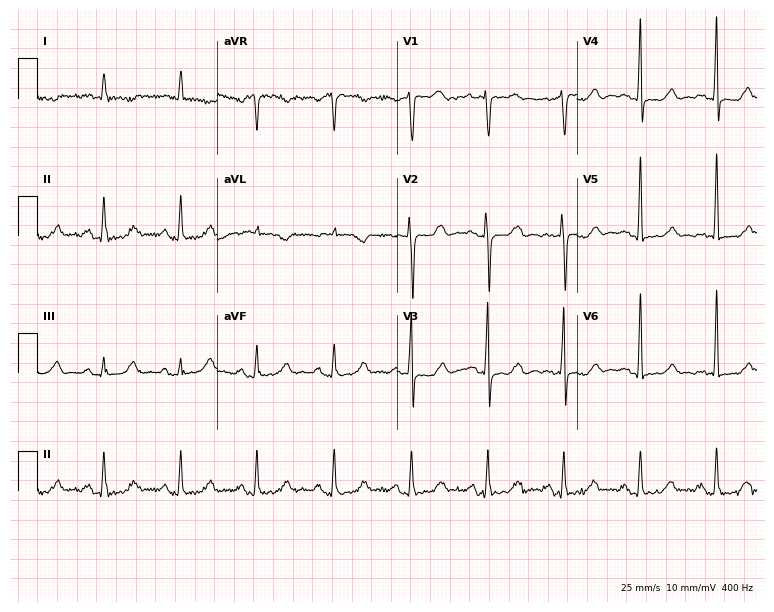
Resting 12-lead electrocardiogram (7.3-second recording at 400 Hz). Patient: a woman, 46 years old. None of these six findings is recorded: first-degree AV block, right bundle branch block, left bundle branch block, sinus bradycardia, atrial fibrillation, sinus tachycardia. Other findings, if any, are not listed.